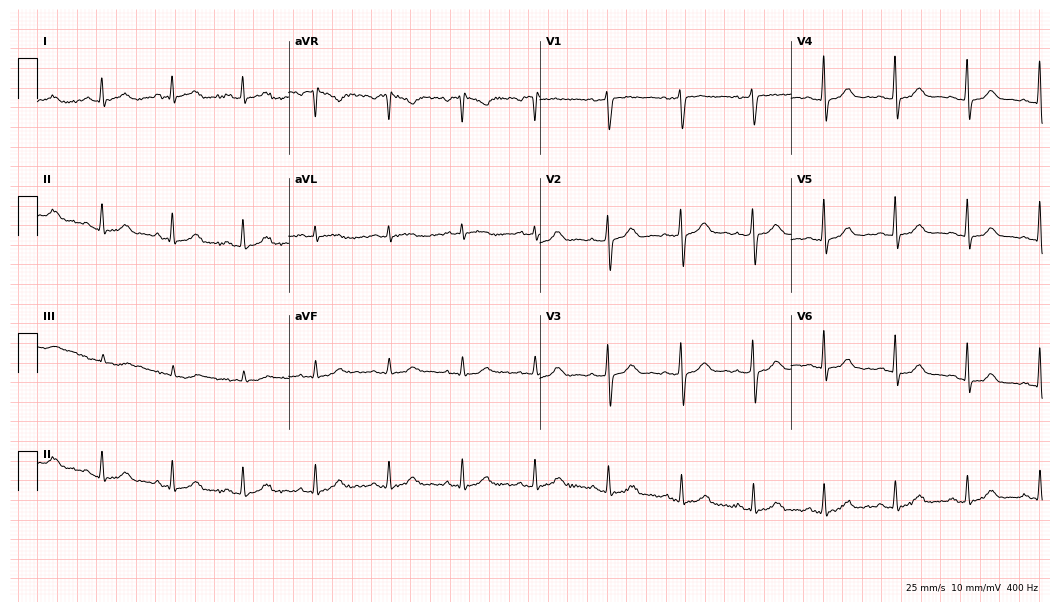
12-lead ECG from a female patient, 61 years old. Labelled as a normal ECG.